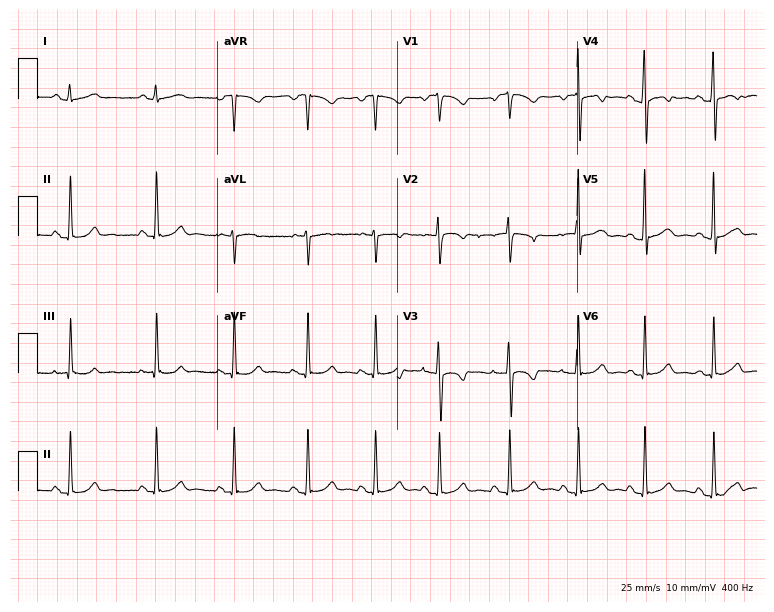
Standard 12-lead ECG recorded from a 31-year-old female patient. Read as a normal ECG.